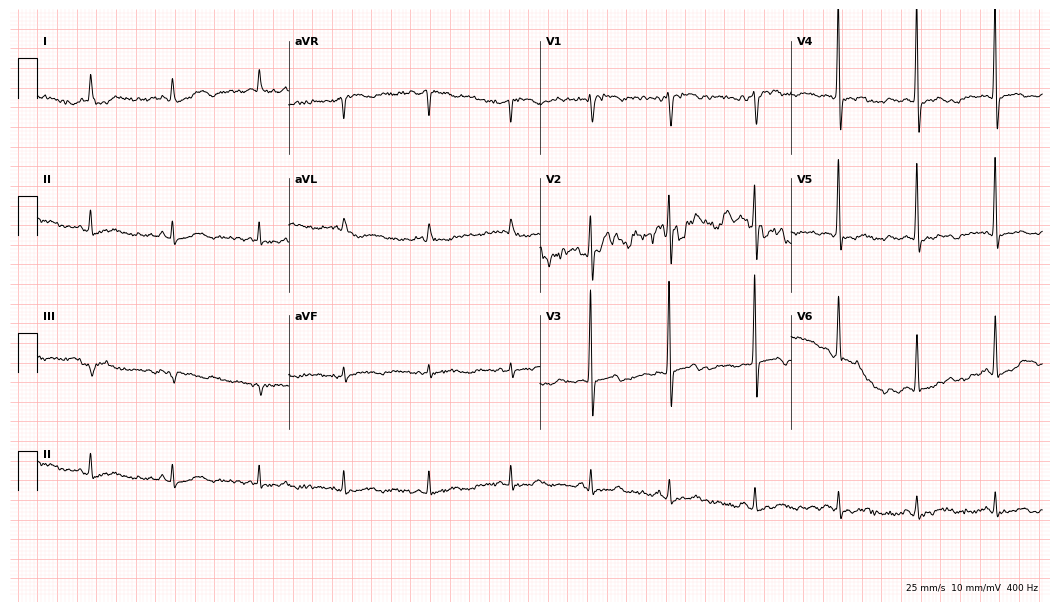
12-lead ECG (10.2-second recording at 400 Hz) from a woman, 80 years old. Screened for six findings — first-degree AV block, right bundle branch block (RBBB), left bundle branch block (LBBB), sinus bradycardia, atrial fibrillation (AF), sinus tachycardia — none is recorded.